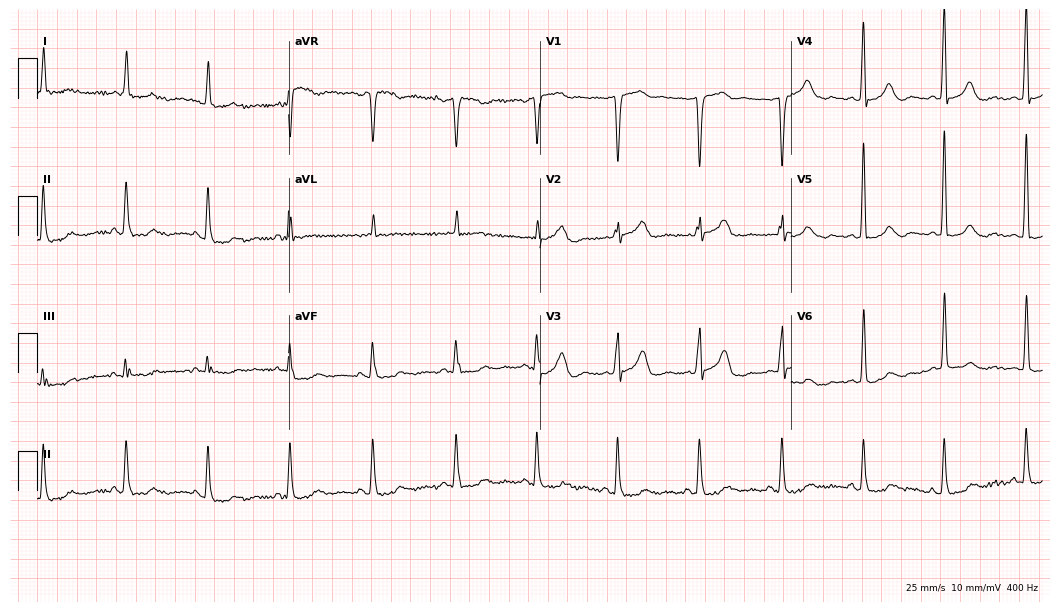
12-lead ECG (10.2-second recording at 400 Hz) from a woman, 72 years old. Screened for six findings — first-degree AV block, right bundle branch block, left bundle branch block, sinus bradycardia, atrial fibrillation, sinus tachycardia — none is recorded. Only these six findings were labelled.